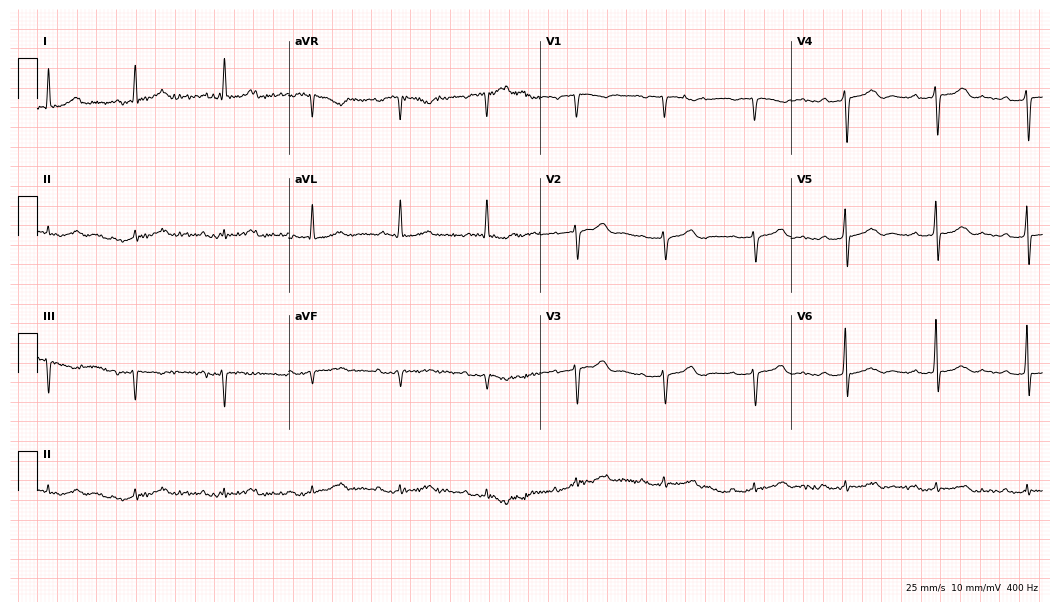
Standard 12-lead ECG recorded from a 77-year-old female patient (10.2-second recording at 400 Hz). None of these six findings is recorded: first-degree AV block, right bundle branch block, left bundle branch block, sinus bradycardia, atrial fibrillation, sinus tachycardia.